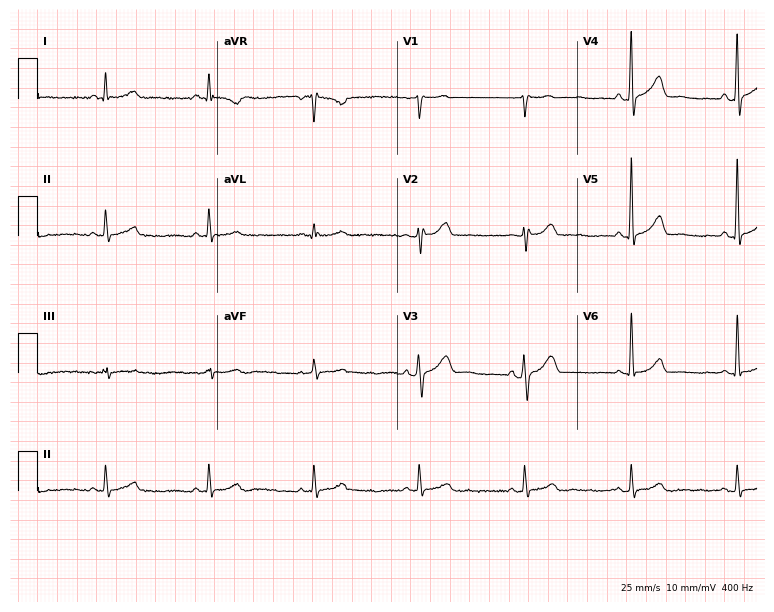
Standard 12-lead ECG recorded from a male, 67 years old. Read as a normal ECG.